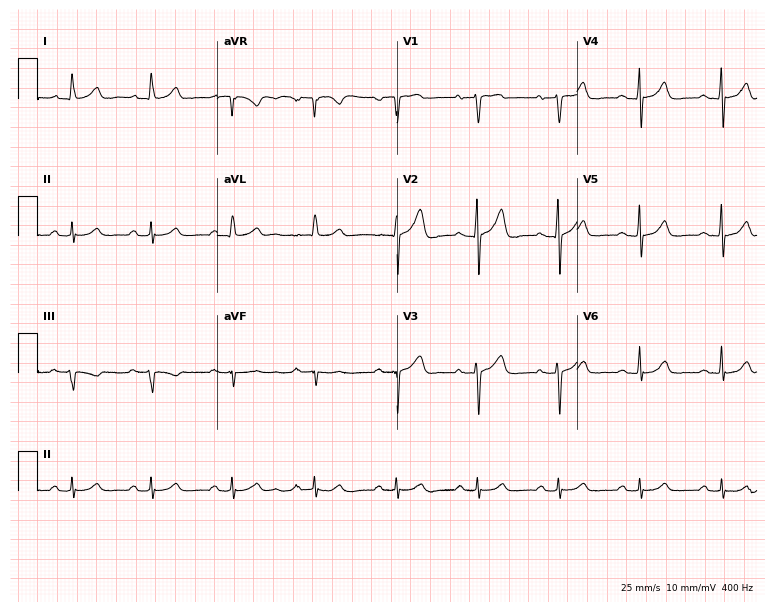
Standard 12-lead ECG recorded from a 76-year-old male. Read as a normal ECG.